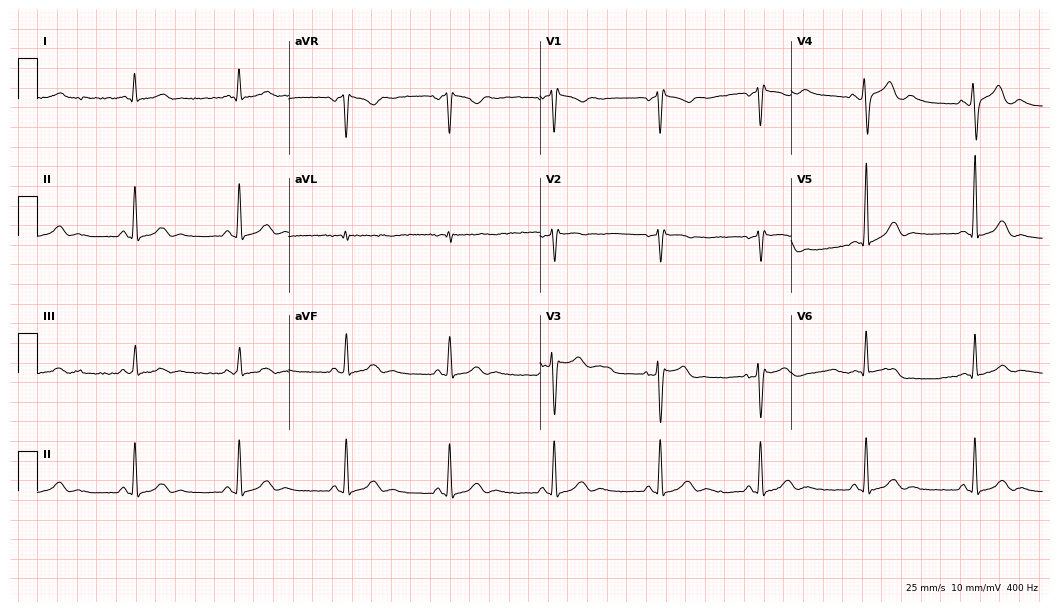
Standard 12-lead ECG recorded from a 34-year-old male patient (10.2-second recording at 400 Hz). None of these six findings is recorded: first-degree AV block, right bundle branch block, left bundle branch block, sinus bradycardia, atrial fibrillation, sinus tachycardia. Other findings, if any, are not listed.